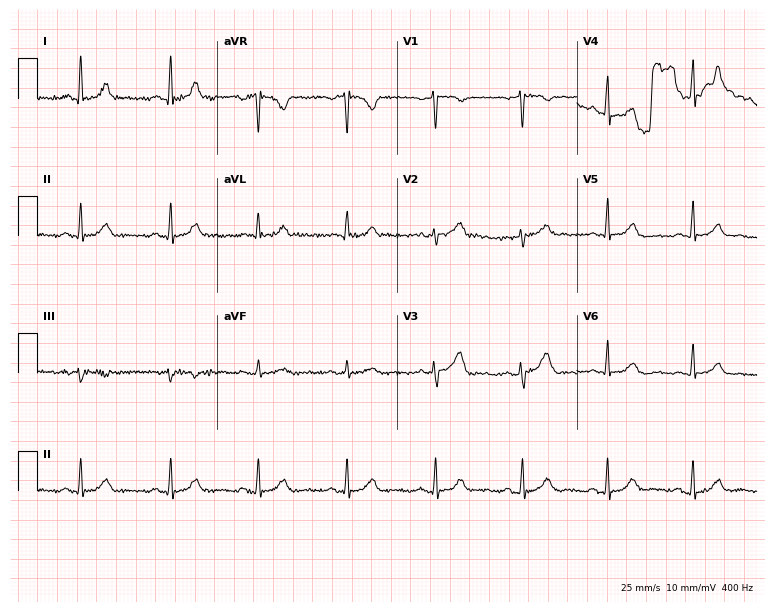
12-lead ECG (7.3-second recording at 400 Hz) from a woman, 59 years old. Screened for six findings — first-degree AV block, right bundle branch block, left bundle branch block, sinus bradycardia, atrial fibrillation, sinus tachycardia — none is recorded.